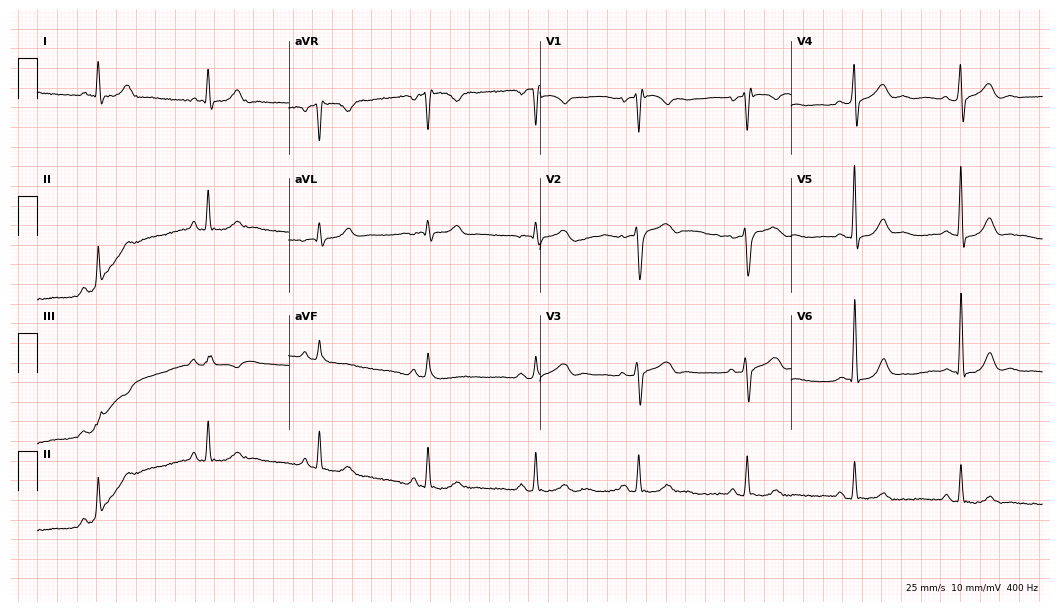
12-lead ECG from a man, 74 years old. Screened for six findings — first-degree AV block, right bundle branch block (RBBB), left bundle branch block (LBBB), sinus bradycardia, atrial fibrillation (AF), sinus tachycardia — none is recorded.